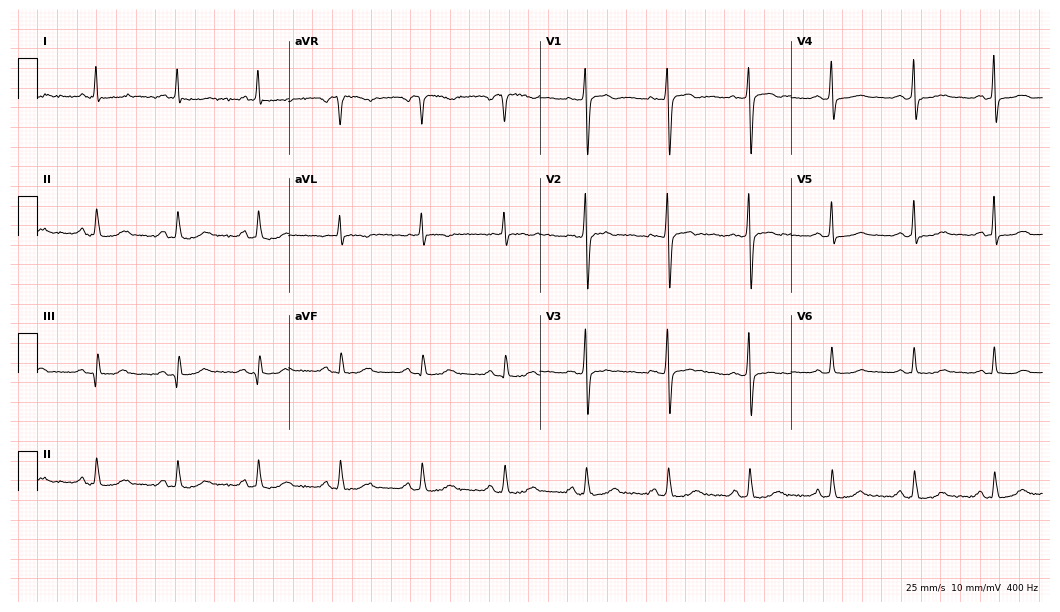
Standard 12-lead ECG recorded from a female patient, 53 years old. Read as a normal ECG.